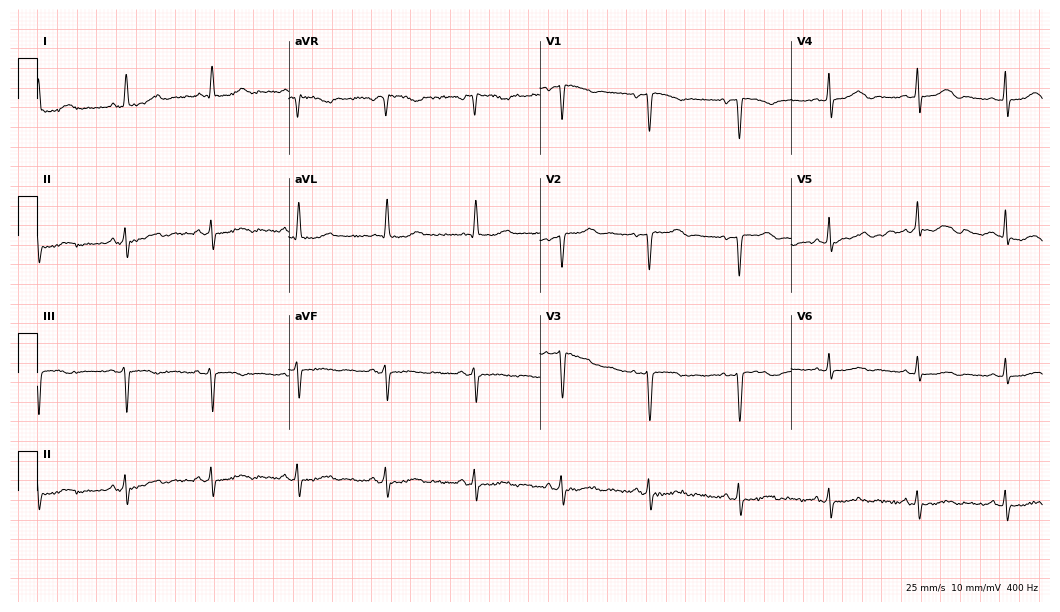
Resting 12-lead electrocardiogram. Patient: a 75-year-old woman. None of these six findings is recorded: first-degree AV block, right bundle branch block, left bundle branch block, sinus bradycardia, atrial fibrillation, sinus tachycardia. Findings outside these six are not listed.